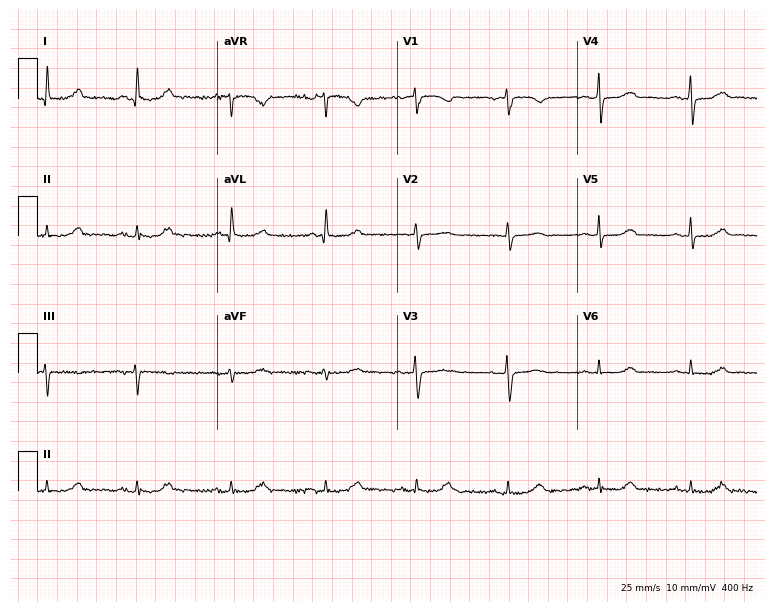
12-lead ECG (7.3-second recording at 400 Hz) from a 70-year-old female patient. Labelled as a normal ECG.